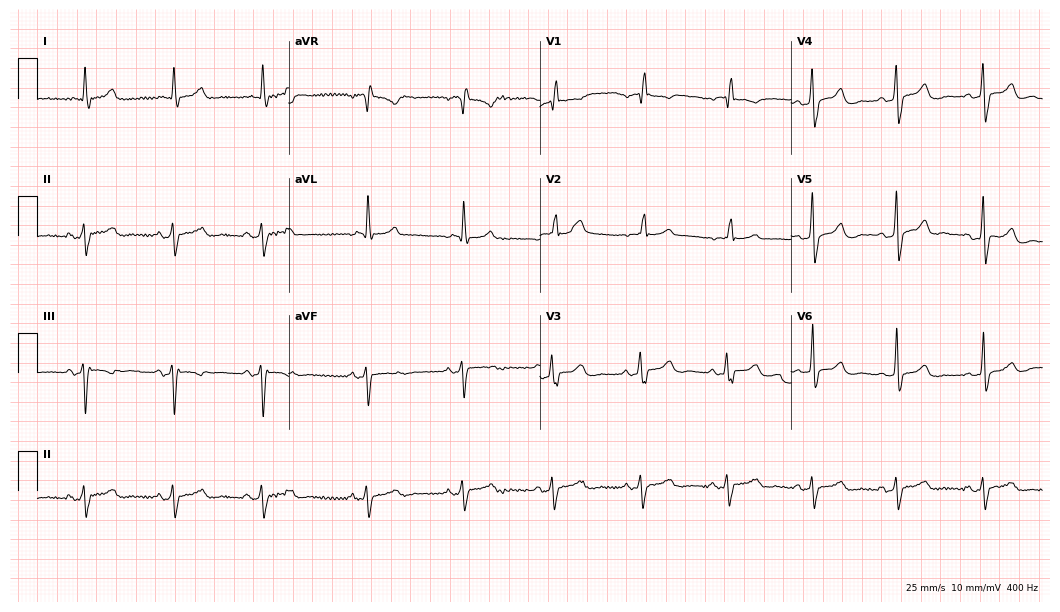
12-lead ECG from a male, 81 years old. Screened for six findings — first-degree AV block, right bundle branch block, left bundle branch block, sinus bradycardia, atrial fibrillation, sinus tachycardia — none is recorded. Findings outside these six are not listed.